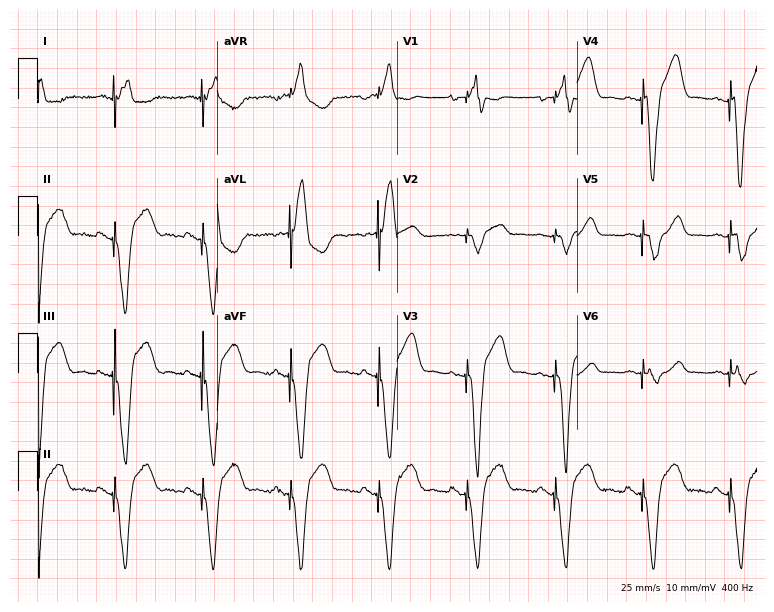
12-lead ECG from a man, 65 years old. Screened for six findings — first-degree AV block, right bundle branch block, left bundle branch block, sinus bradycardia, atrial fibrillation, sinus tachycardia — none is recorded. Other findings, if any, are not listed.